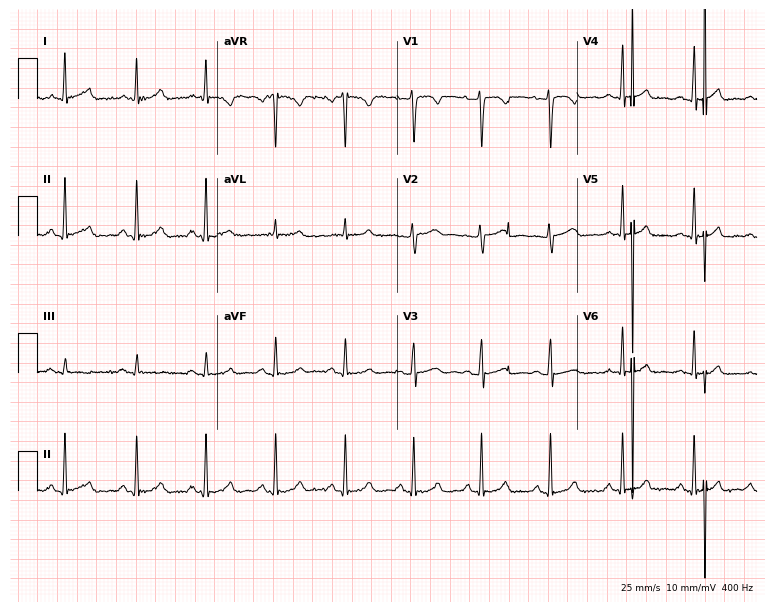
12-lead ECG from a female patient, 25 years old. Labelled as a normal ECG.